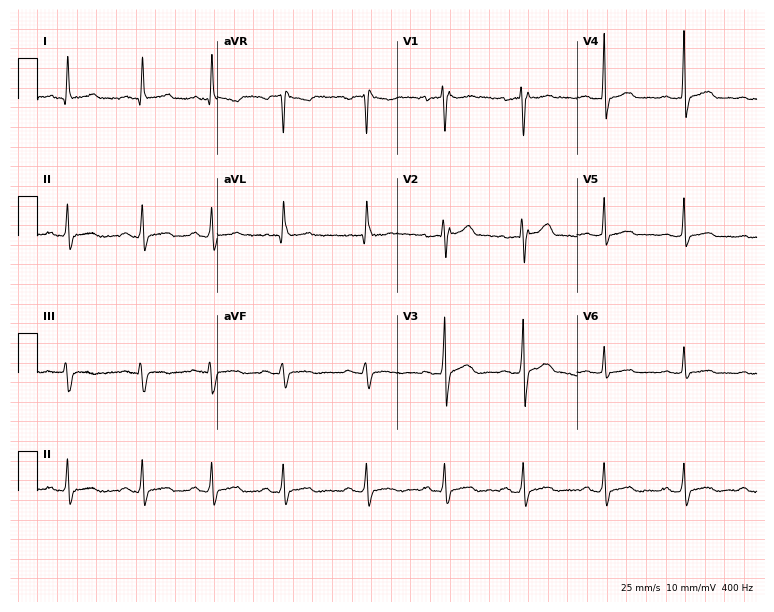
Standard 12-lead ECG recorded from a 43-year-old male patient (7.3-second recording at 400 Hz). None of these six findings is recorded: first-degree AV block, right bundle branch block, left bundle branch block, sinus bradycardia, atrial fibrillation, sinus tachycardia.